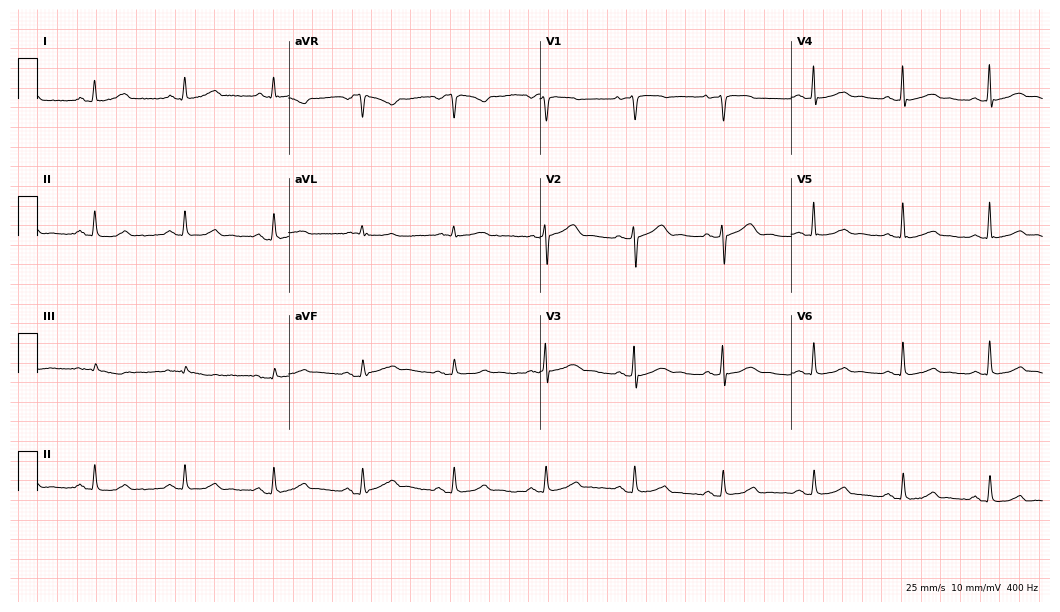
12-lead ECG (10.2-second recording at 400 Hz) from a female patient, 21 years old. Labelled as a normal ECG.